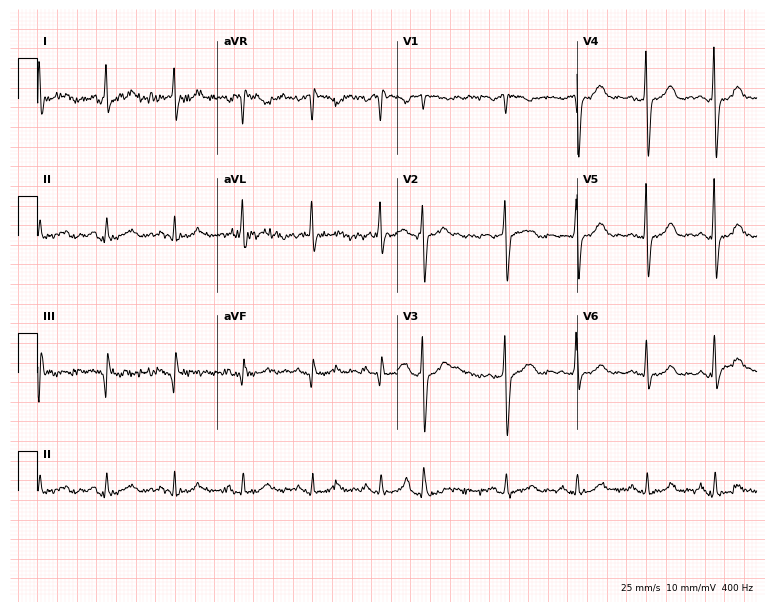
Standard 12-lead ECG recorded from an 83-year-old woman (7.3-second recording at 400 Hz). None of these six findings is recorded: first-degree AV block, right bundle branch block, left bundle branch block, sinus bradycardia, atrial fibrillation, sinus tachycardia. Only these six findings were labelled.